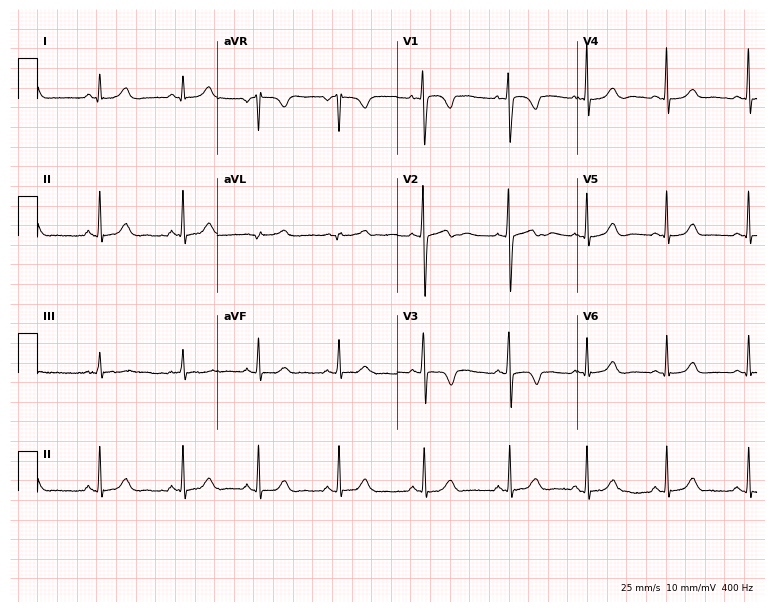
Standard 12-lead ECG recorded from a 22-year-old female. None of these six findings is recorded: first-degree AV block, right bundle branch block (RBBB), left bundle branch block (LBBB), sinus bradycardia, atrial fibrillation (AF), sinus tachycardia.